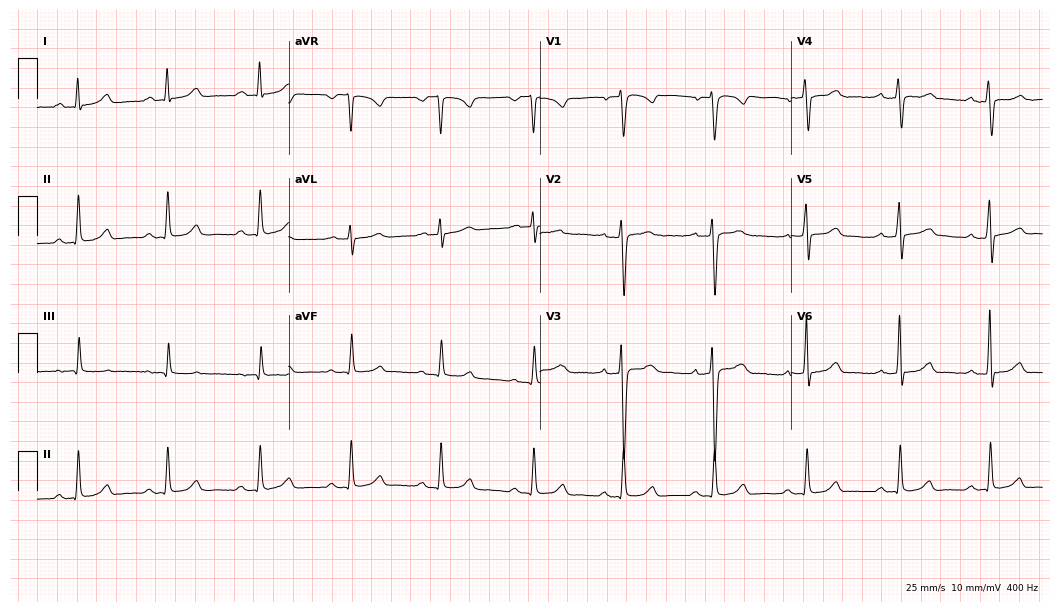
Electrocardiogram, a male, 35 years old. Overall reading on record: normal ECG.